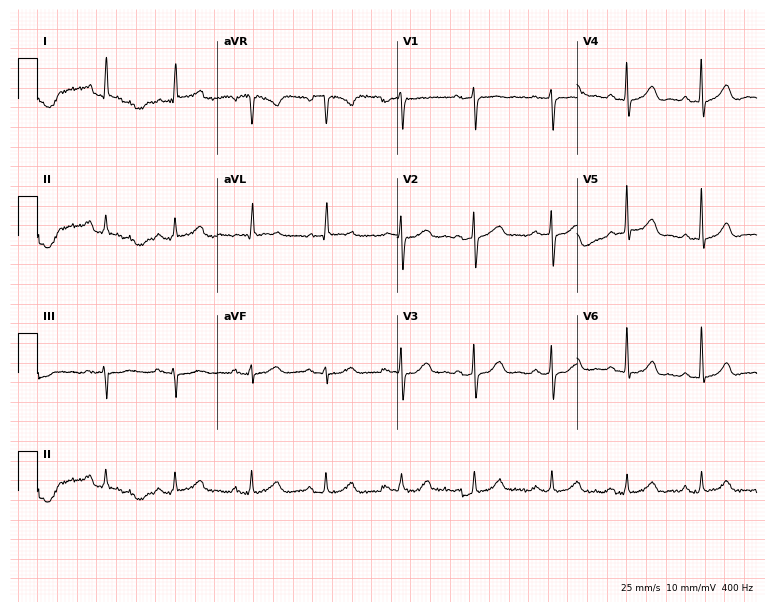
Resting 12-lead electrocardiogram (7.3-second recording at 400 Hz). Patient: a female, 69 years old. None of these six findings is recorded: first-degree AV block, right bundle branch block, left bundle branch block, sinus bradycardia, atrial fibrillation, sinus tachycardia. Other findings, if any, are not listed.